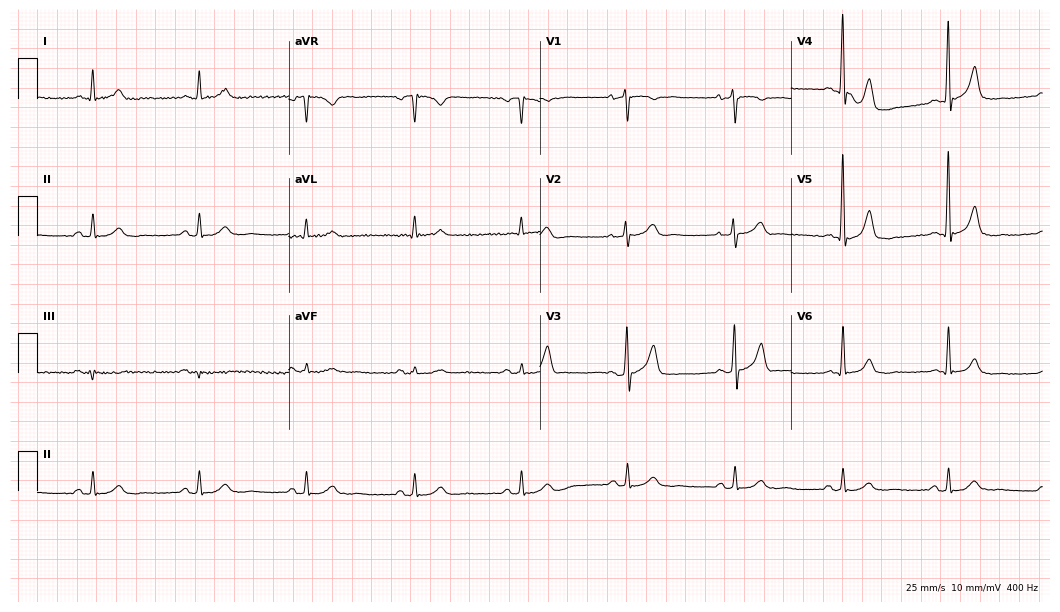
ECG (10.2-second recording at 400 Hz) — a 65-year-old male patient. Labelled as a normal ECG.